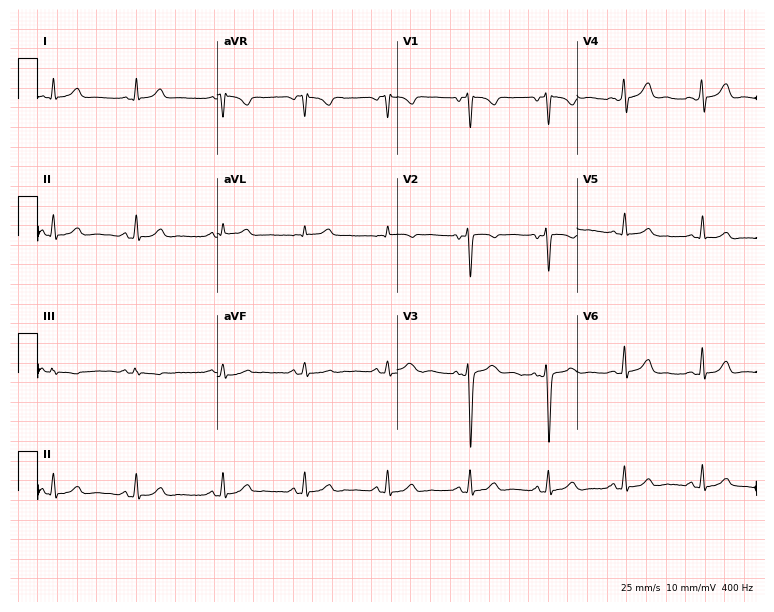
12-lead ECG from a female, 30 years old. Screened for six findings — first-degree AV block, right bundle branch block, left bundle branch block, sinus bradycardia, atrial fibrillation, sinus tachycardia — none is recorded. Only these six findings were labelled.